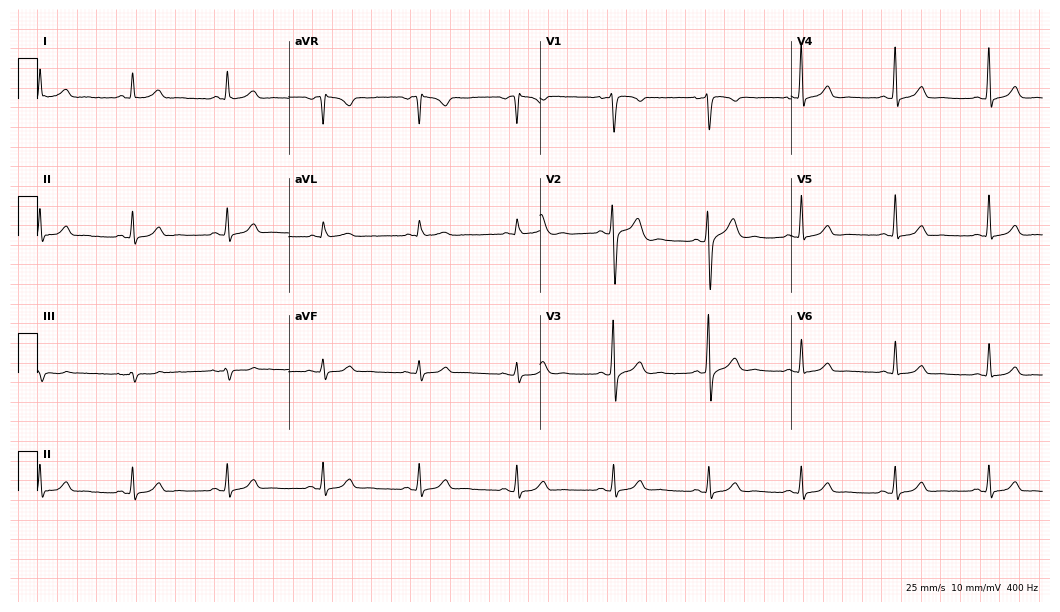
12-lead ECG (10.2-second recording at 400 Hz) from a 37-year-old male patient. Labelled as a normal ECG.